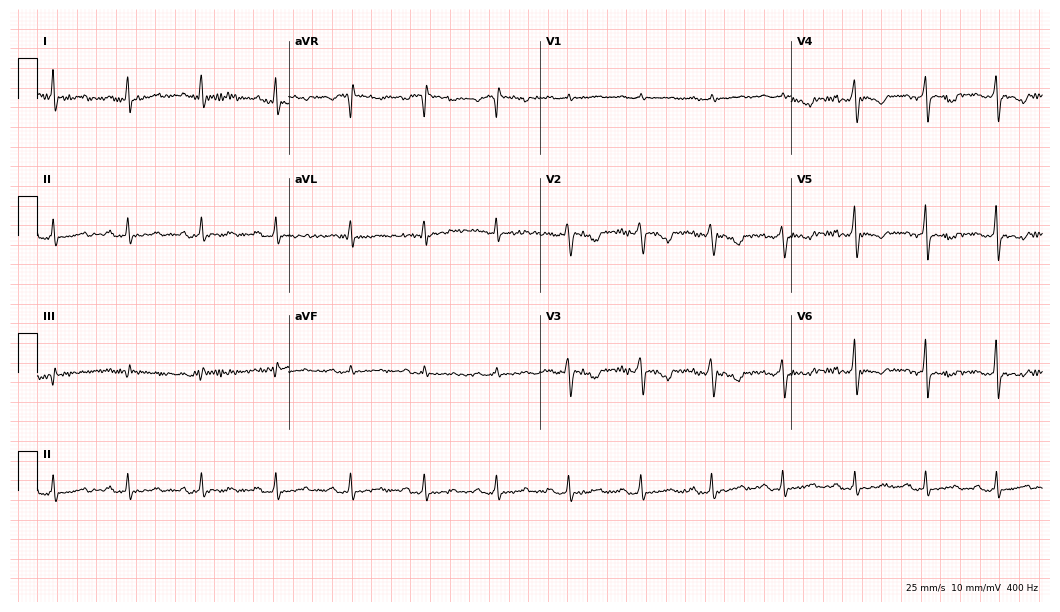
Standard 12-lead ECG recorded from a 33-year-old woman. None of these six findings is recorded: first-degree AV block, right bundle branch block, left bundle branch block, sinus bradycardia, atrial fibrillation, sinus tachycardia.